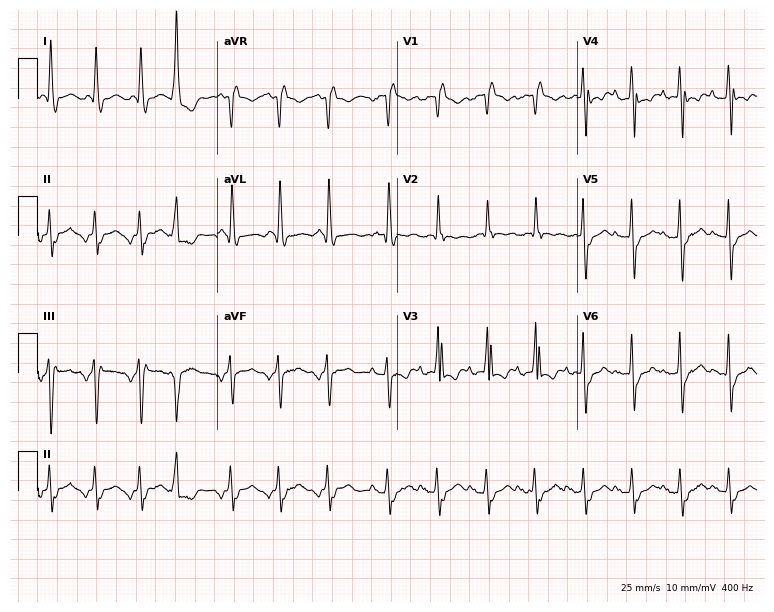
12-lead ECG from a male patient, 79 years old (7.3-second recording at 400 Hz). Shows right bundle branch block, sinus tachycardia (a sinus rate of 100 beats per minute or more).